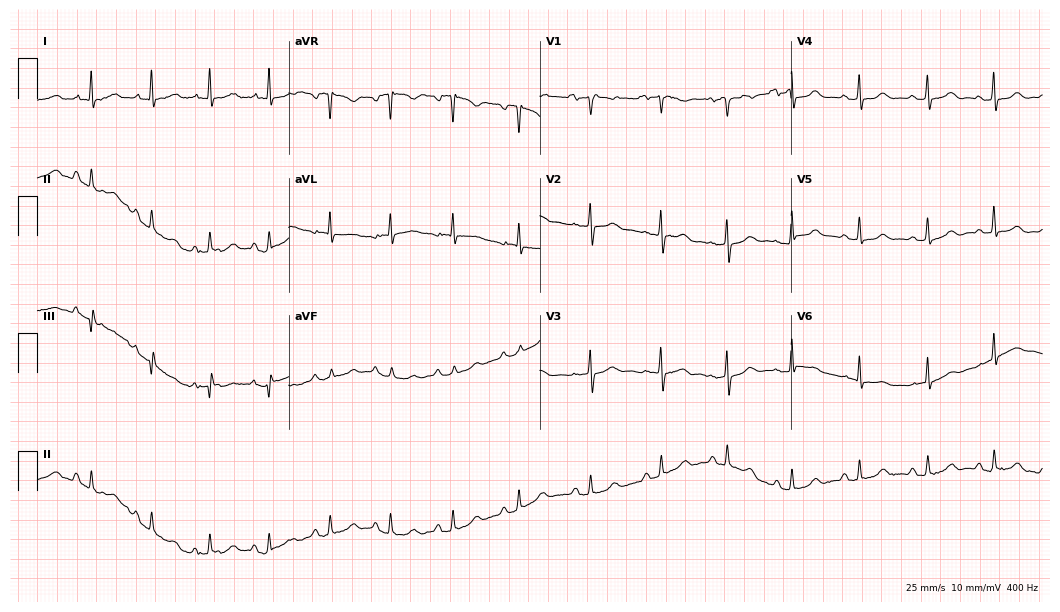
12-lead ECG from a female, 63 years old. Screened for six findings — first-degree AV block, right bundle branch block, left bundle branch block, sinus bradycardia, atrial fibrillation, sinus tachycardia — none is recorded.